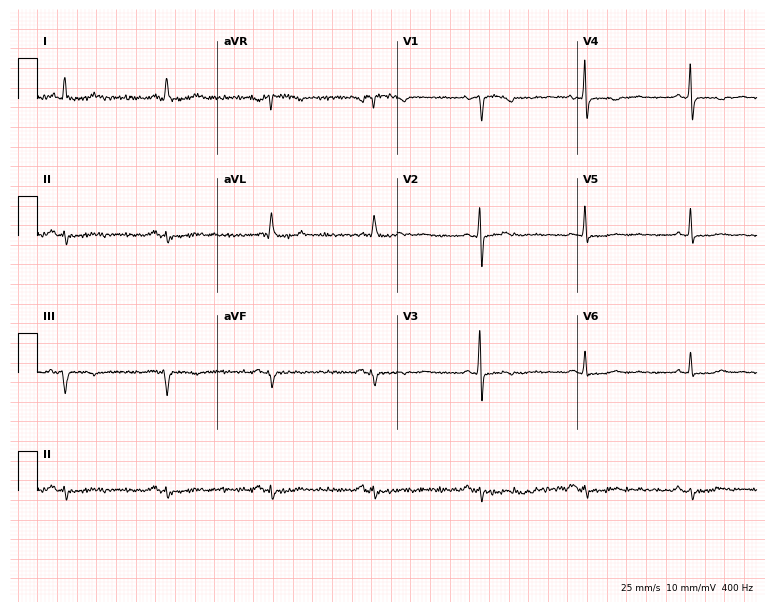
Electrocardiogram, a 70-year-old woman. Of the six screened findings (first-degree AV block, right bundle branch block, left bundle branch block, sinus bradycardia, atrial fibrillation, sinus tachycardia), none is recorded.